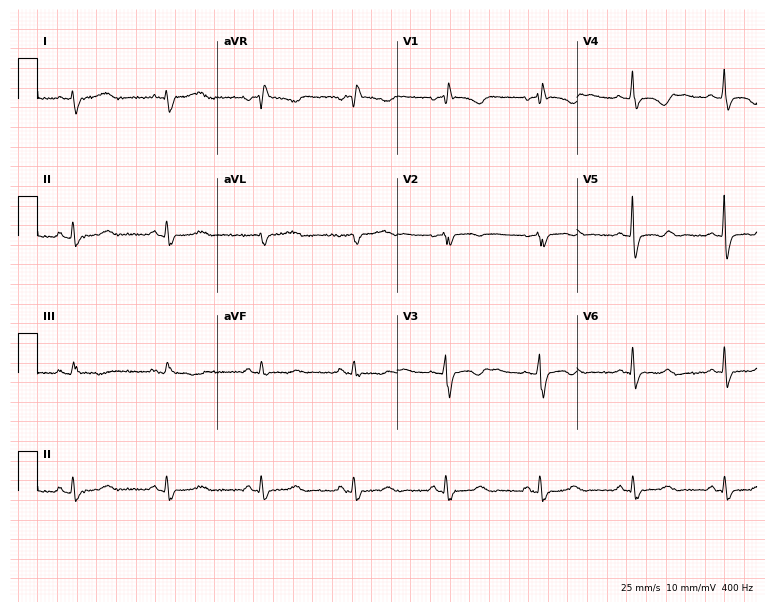
12-lead ECG from a 69-year-old female patient (7.3-second recording at 400 Hz). Shows right bundle branch block.